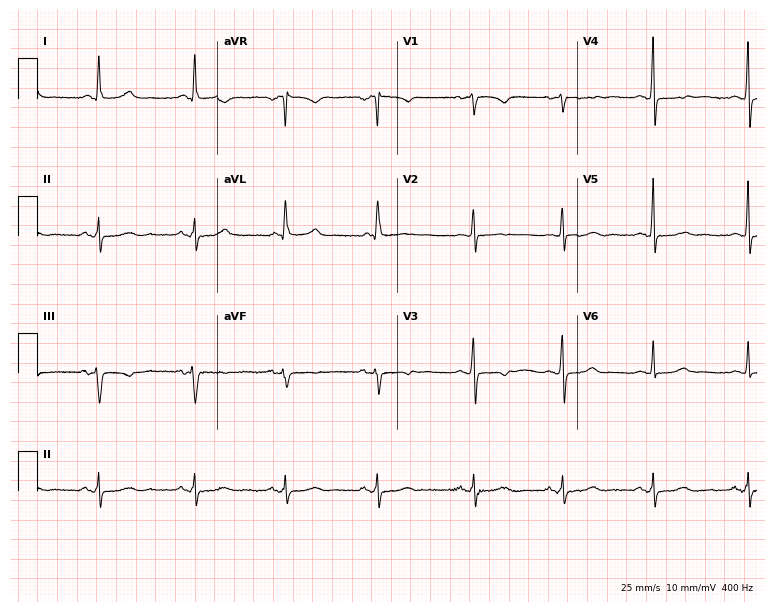
Electrocardiogram, a 67-year-old female patient. Of the six screened findings (first-degree AV block, right bundle branch block, left bundle branch block, sinus bradycardia, atrial fibrillation, sinus tachycardia), none is recorded. Findings outside these six are not listed.